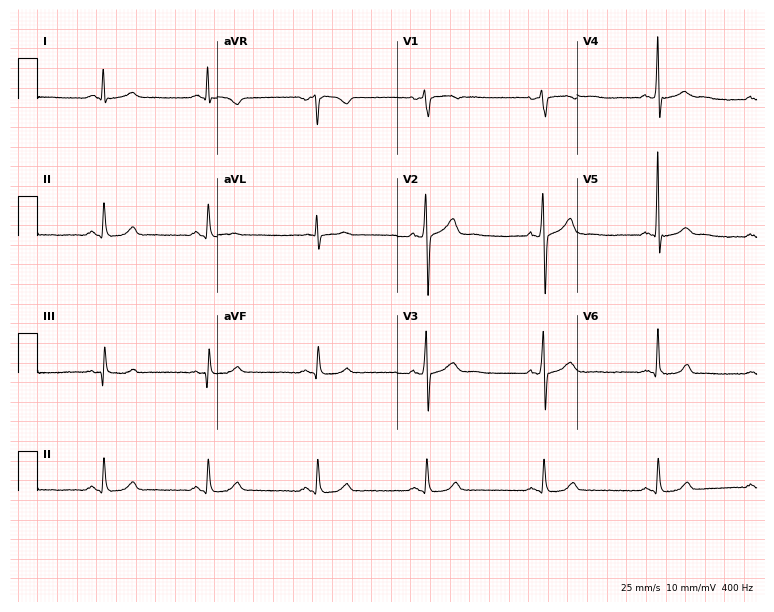
Standard 12-lead ECG recorded from a 38-year-old male. Read as a normal ECG.